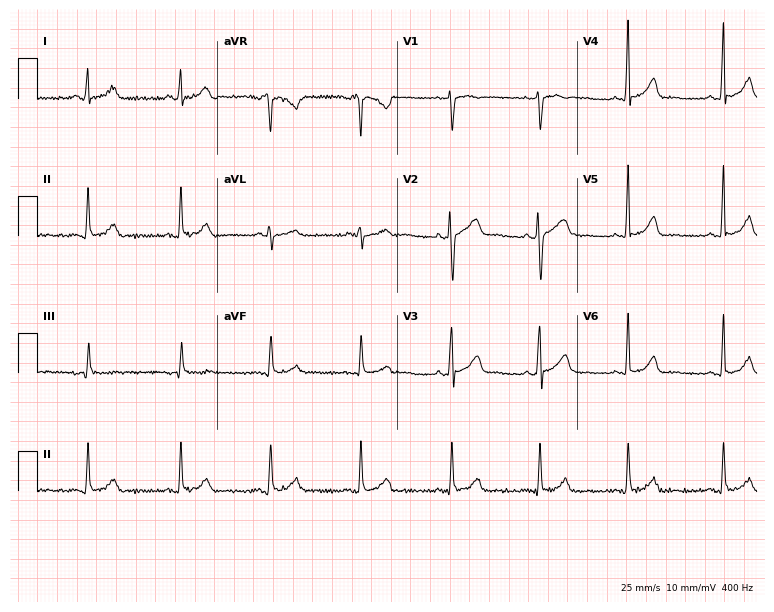
12-lead ECG from a 37-year-old woman (7.3-second recording at 400 Hz). Recorded interpretation: within normal limits.